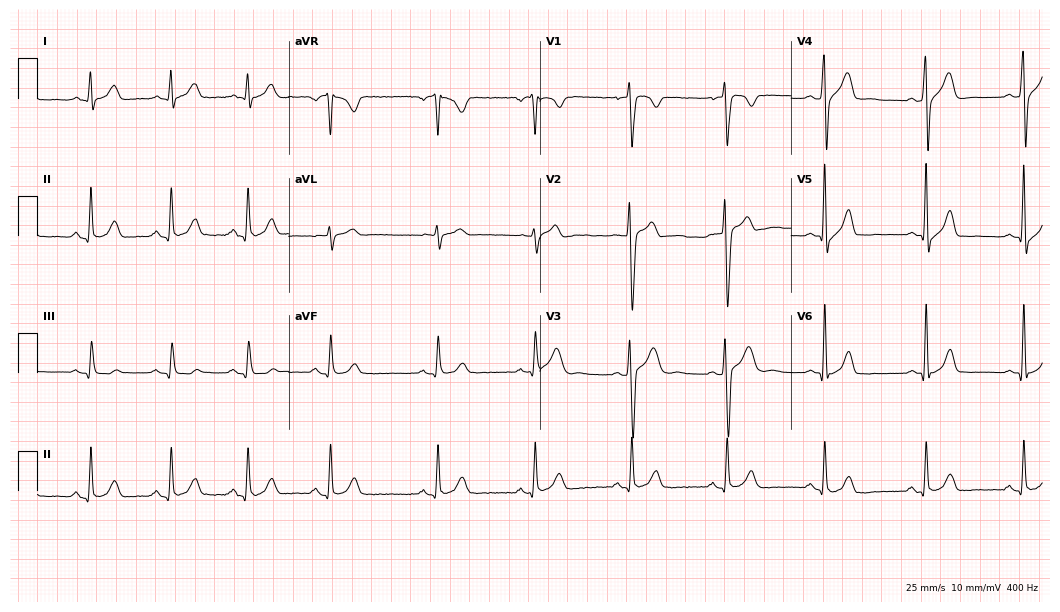
ECG — a 28-year-old male. Screened for six findings — first-degree AV block, right bundle branch block, left bundle branch block, sinus bradycardia, atrial fibrillation, sinus tachycardia — none is recorded. Findings outside these six are not listed.